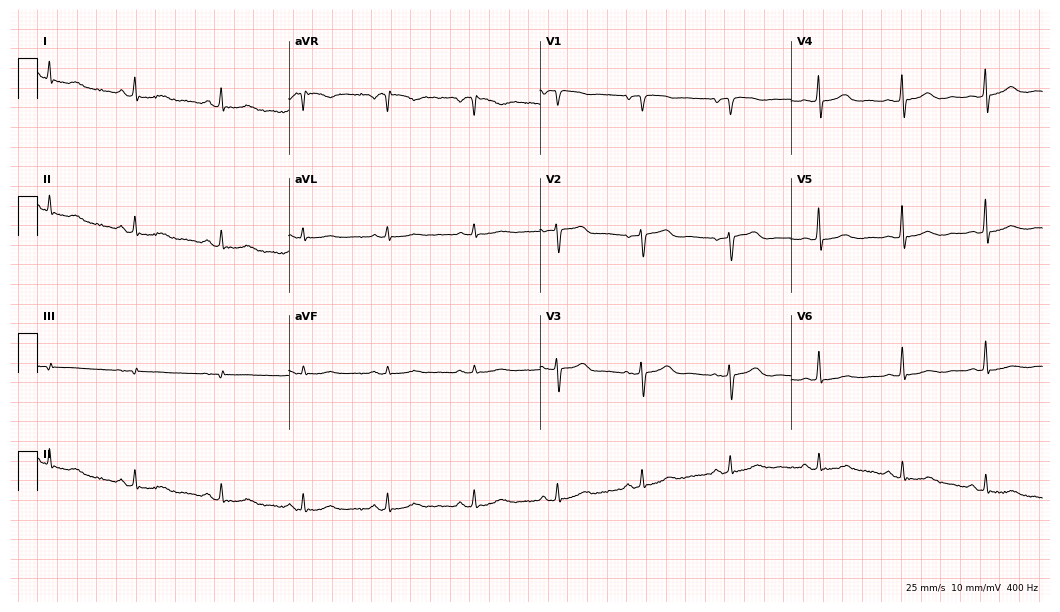
ECG — a woman, 69 years old. Labelled as a normal ECG.